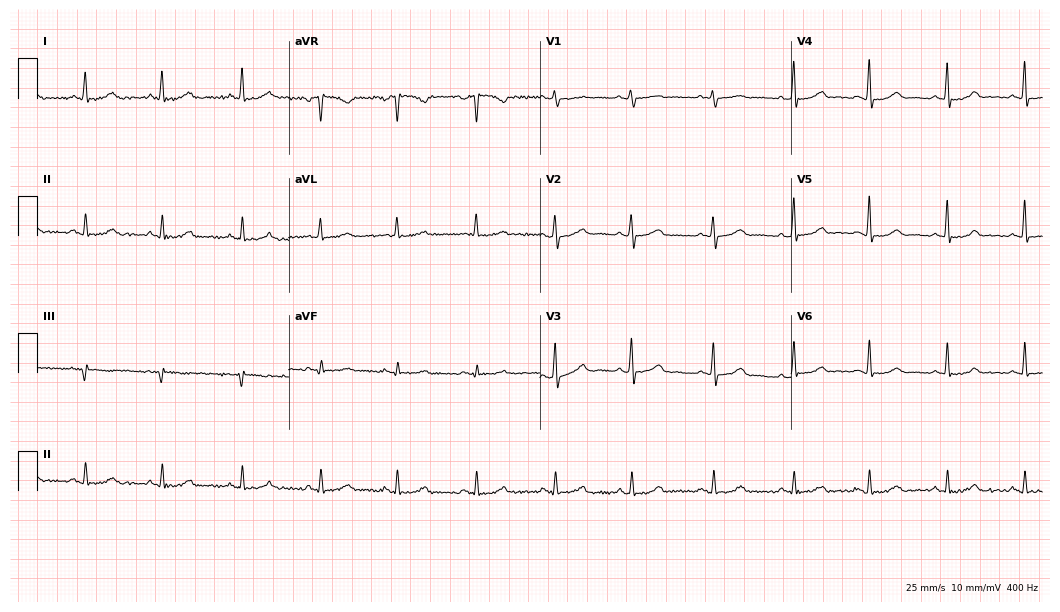
12-lead ECG from a female, 39 years old. Labelled as a normal ECG.